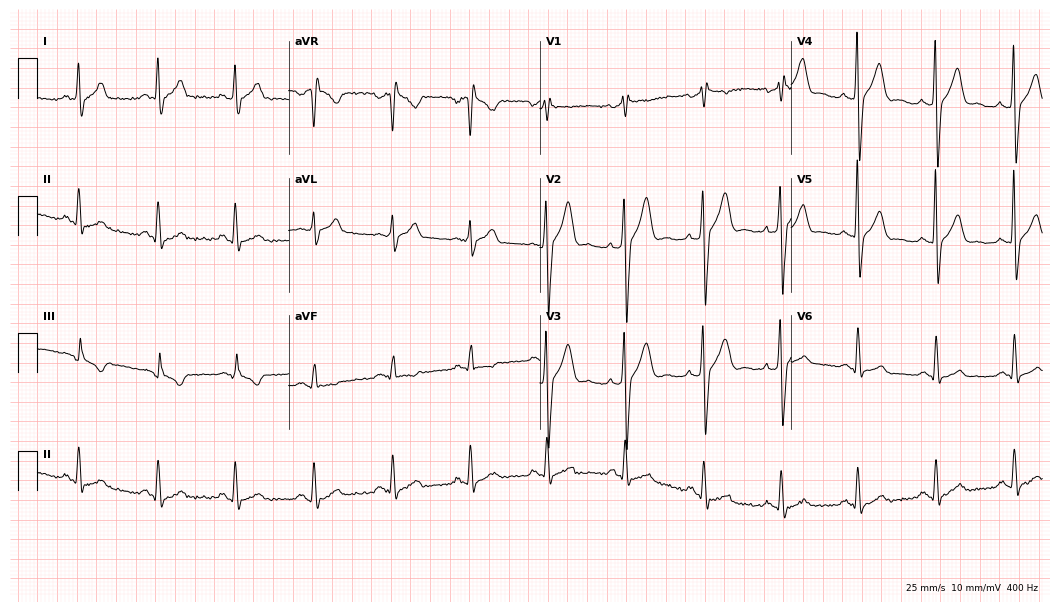
ECG — a male patient, 42 years old. Screened for six findings — first-degree AV block, right bundle branch block, left bundle branch block, sinus bradycardia, atrial fibrillation, sinus tachycardia — none is recorded.